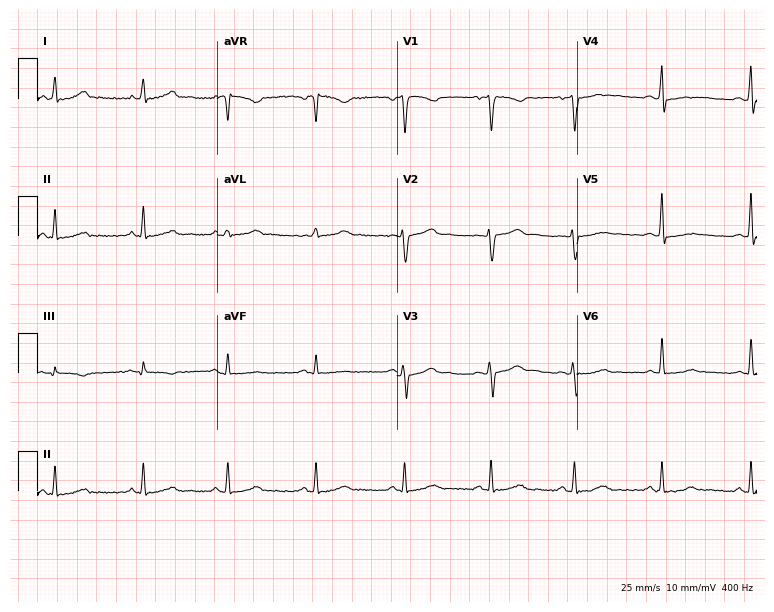
12-lead ECG from a female patient, 38 years old. Screened for six findings — first-degree AV block, right bundle branch block (RBBB), left bundle branch block (LBBB), sinus bradycardia, atrial fibrillation (AF), sinus tachycardia — none is recorded. Other findings, if any, are not listed.